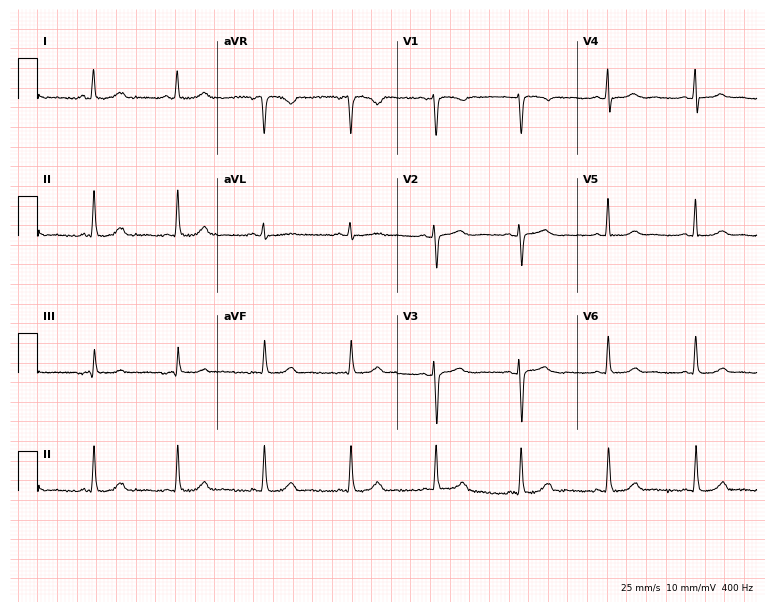
12-lead ECG (7.3-second recording at 400 Hz) from a female, 51 years old. Labelled as a normal ECG.